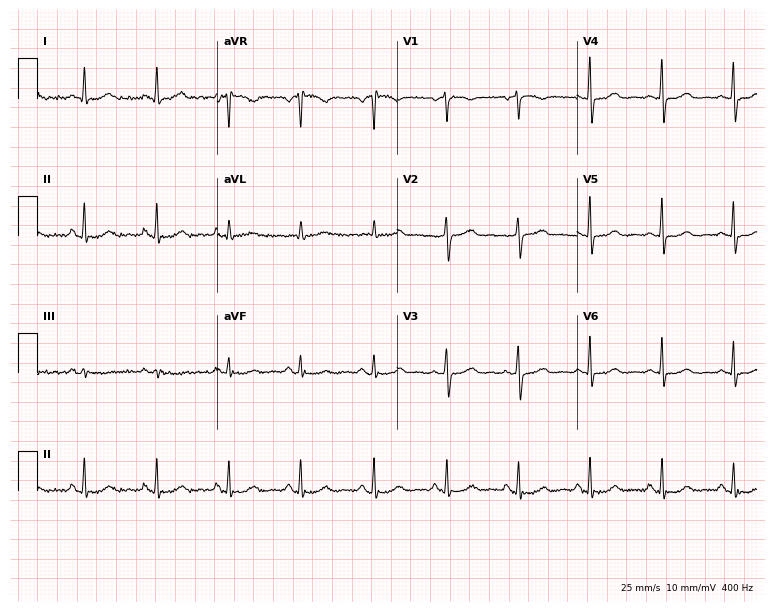
Electrocardiogram, a woman, 64 years old. Overall reading on record: normal ECG.